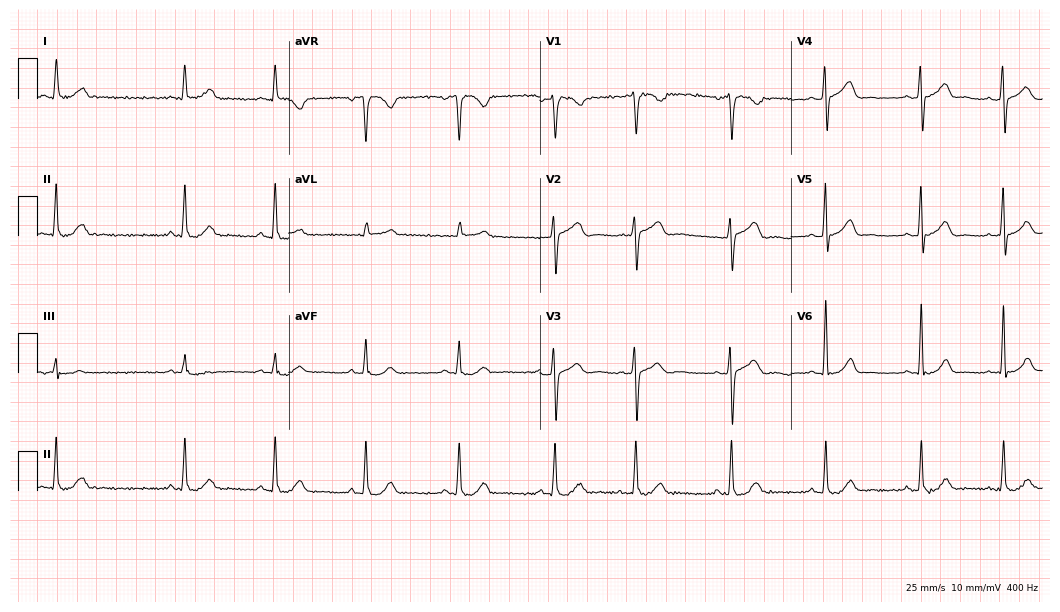
Electrocardiogram (10.2-second recording at 400 Hz), a 63-year-old male. Overall reading on record: normal ECG.